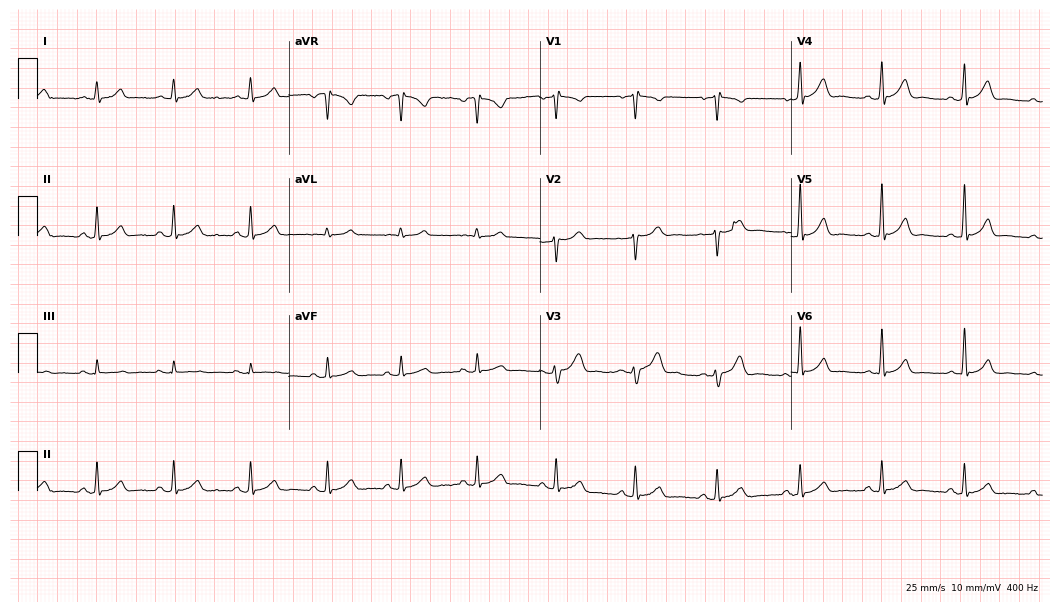
ECG — a woman, 23 years old. Labelled as a normal ECG.